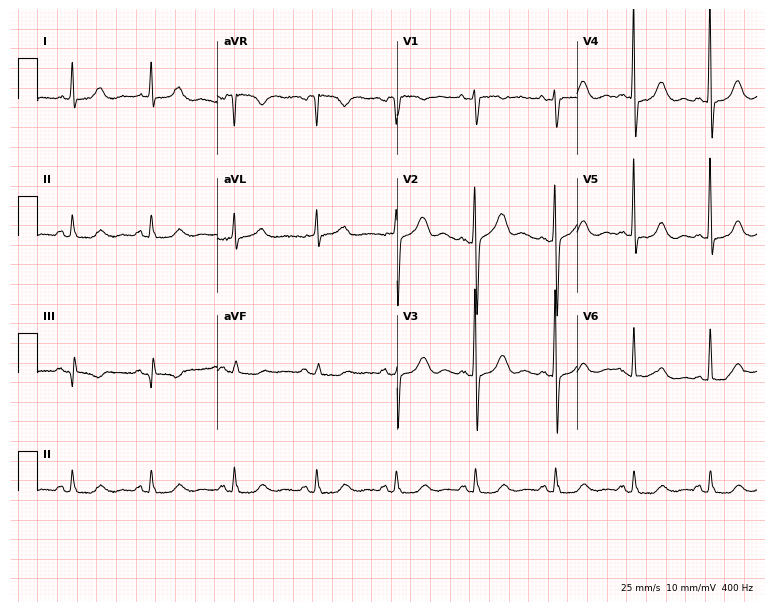
Electrocardiogram (7.3-second recording at 400 Hz), a female patient, 69 years old. Overall reading on record: normal ECG.